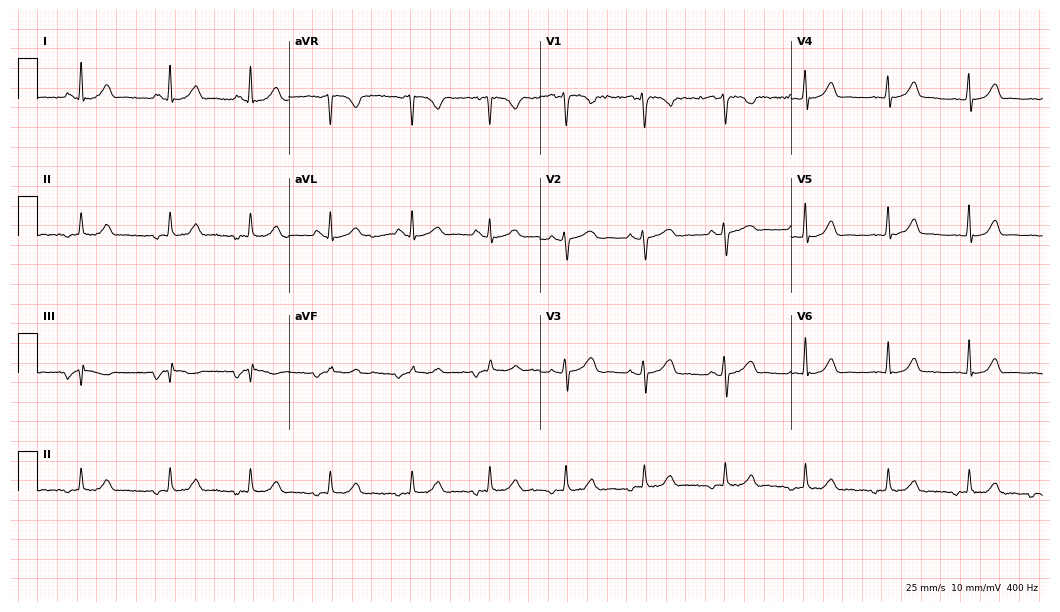
Electrocardiogram (10.2-second recording at 400 Hz), a woman, 38 years old. Overall reading on record: normal ECG.